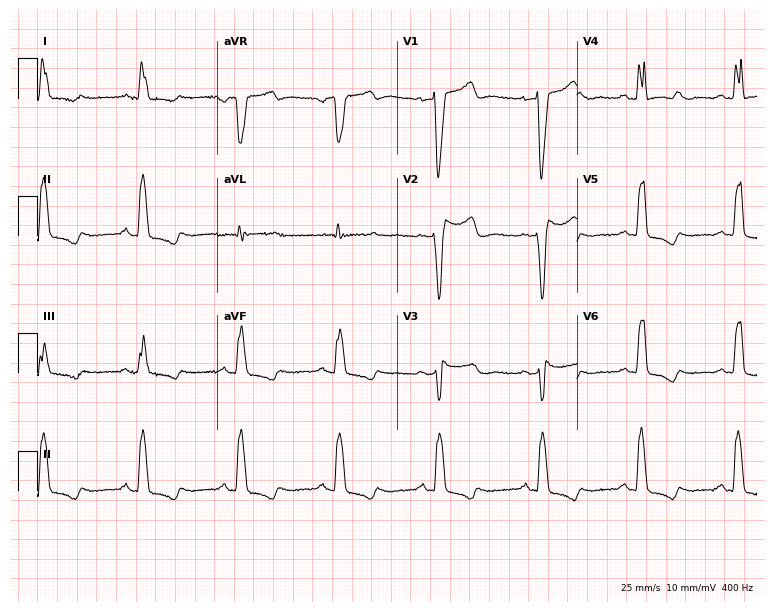
12-lead ECG from a female, 84 years old. Findings include left bundle branch block.